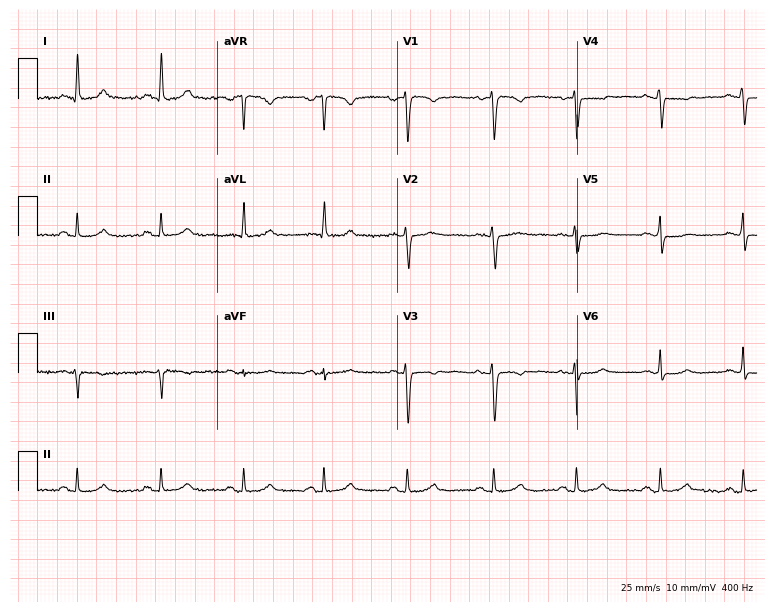
Resting 12-lead electrocardiogram. Patient: a 44-year-old woman. None of these six findings is recorded: first-degree AV block, right bundle branch block (RBBB), left bundle branch block (LBBB), sinus bradycardia, atrial fibrillation (AF), sinus tachycardia. Findings outside these six are not listed.